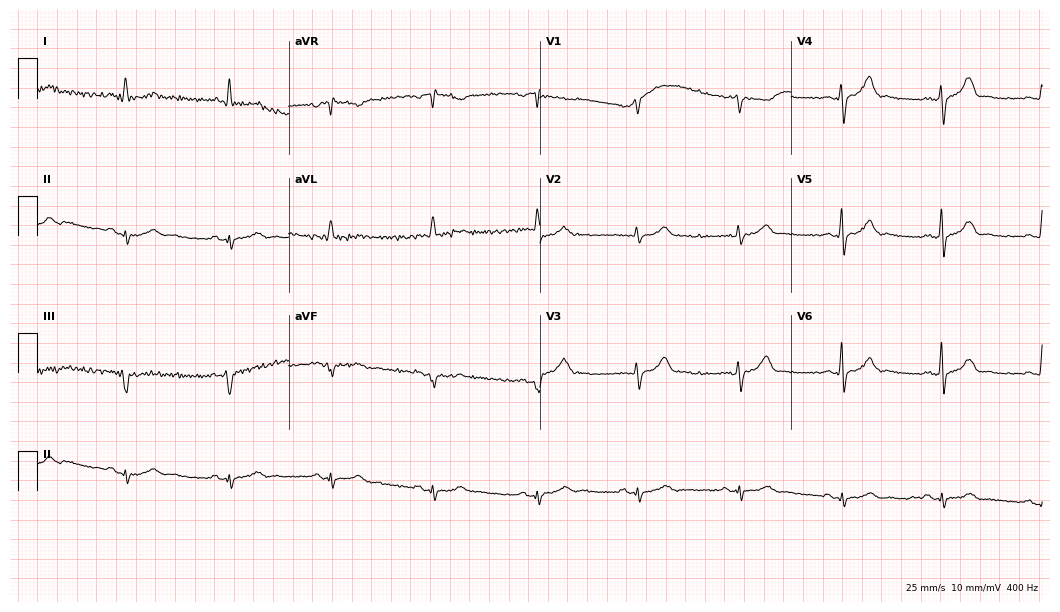
ECG — a man, 50 years old. Screened for six findings — first-degree AV block, right bundle branch block (RBBB), left bundle branch block (LBBB), sinus bradycardia, atrial fibrillation (AF), sinus tachycardia — none is recorded. Other findings, if any, are not listed.